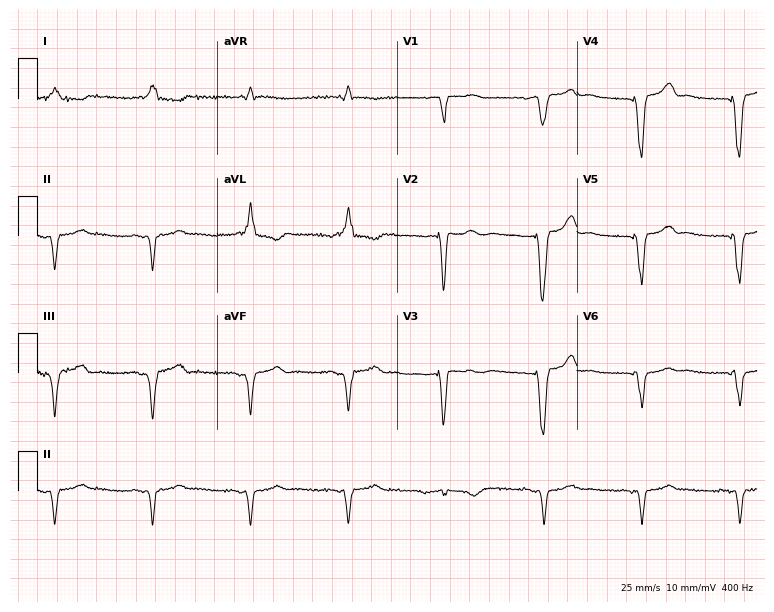
12-lead ECG from a 76-year-old woman. Screened for six findings — first-degree AV block, right bundle branch block (RBBB), left bundle branch block (LBBB), sinus bradycardia, atrial fibrillation (AF), sinus tachycardia — none is recorded. Findings outside these six are not listed.